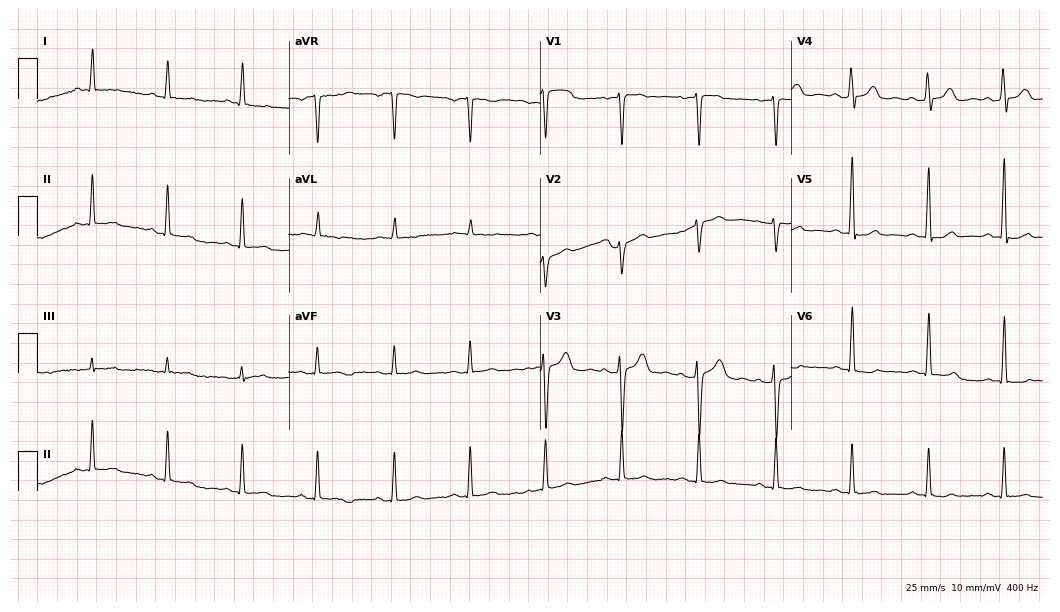
Standard 12-lead ECG recorded from a female, 35 years old. None of these six findings is recorded: first-degree AV block, right bundle branch block, left bundle branch block, sinus bradycardia, atrial fibrillation, sinus tachycardia.